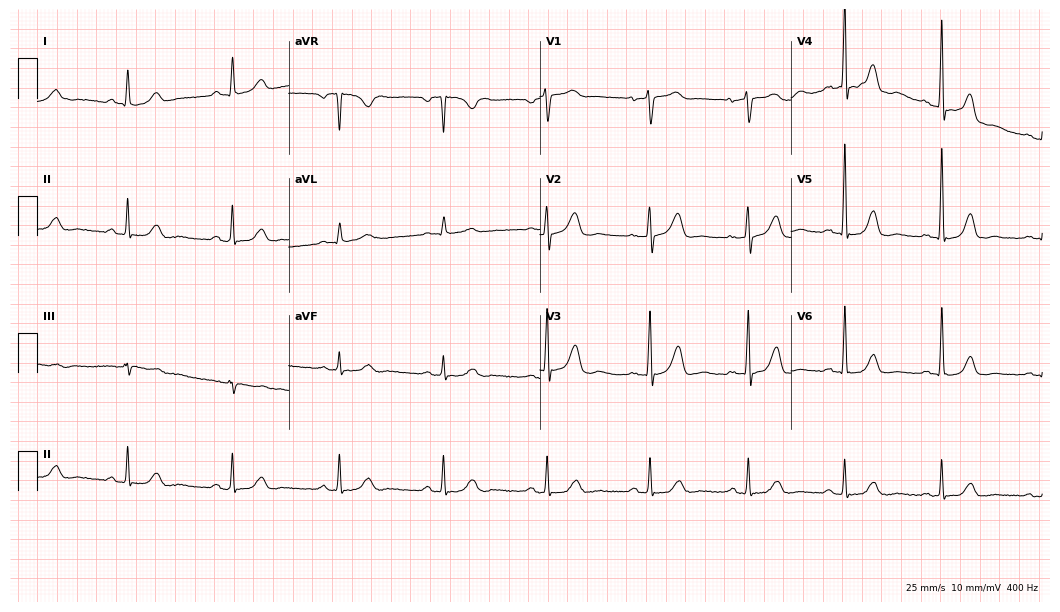
12-lead ECG from a 62-year-old woman (10.2-second recording at 400 Hz). No first-degree AV block, right bundle branch block, left bundle branch block, sinus bradycardia, atrial fibrillation or sinus tachycardia recorded for this tracing.